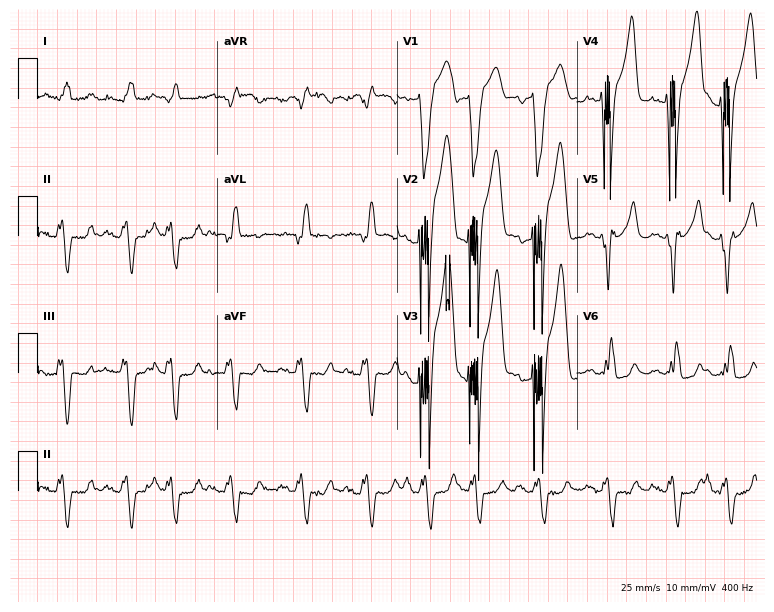
ECG (7.3-second recording at 400 Hz) — an 81-year-old male. Screened for six findings — first-degree AV block, right bundle branch block, left bundle branch block, sinus bradycardia, atrial fibrillation, sinus tachycardia — none is recorded. Findings outside these six are not listed.